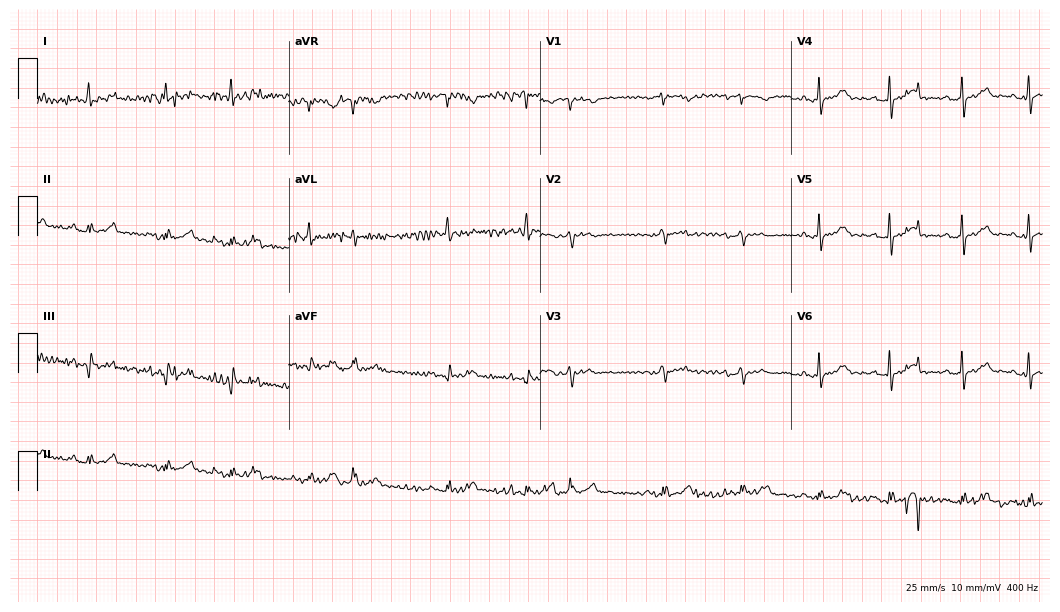
Resting 12-lead electrocardiogram. Patient: an 84-year-old male. None of these six findings is recorded: first-degree AV block, right bundle branch block (RBBB), left bundle branch block (LBBB), sinus bradycardia, atrial fibrillation (AF), sinus tachycardia. Only these six findings were labelled.